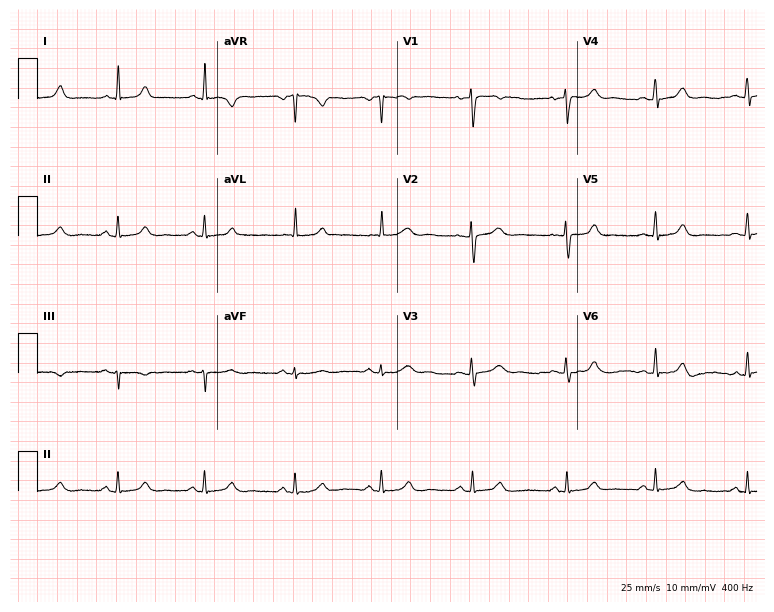
12-lead ECG from a female patient, 33 years old (7.3-second recording at 400 Hz). Recorded interpretation: within normal limits.